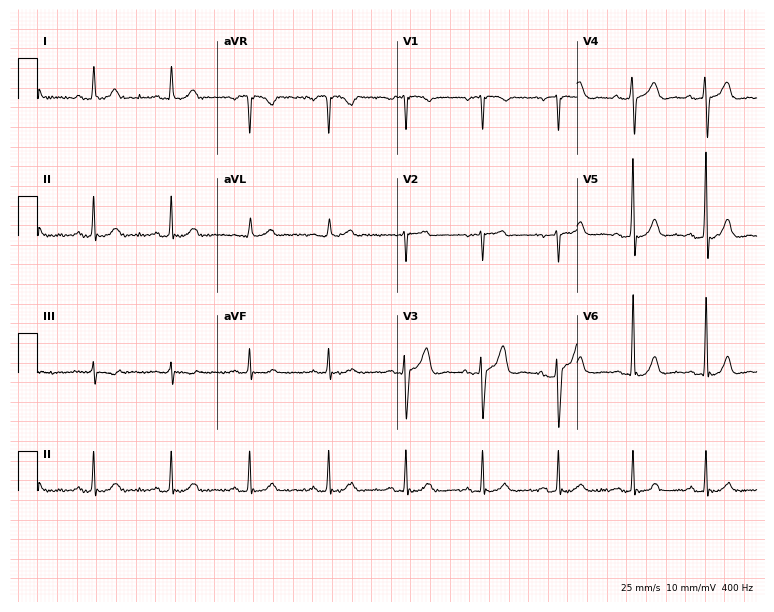
12-lead ECG from a 46-year-old male. Labelled as a normal ECG.